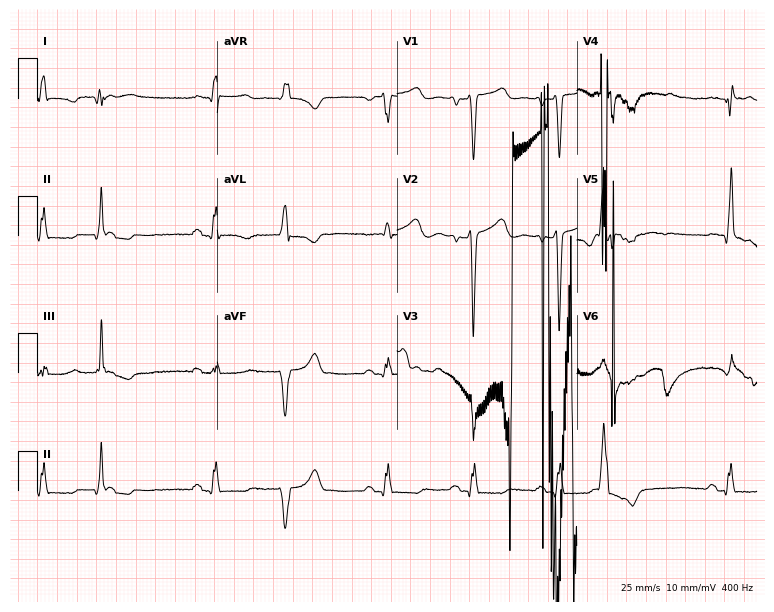
12-lead ECG from a 69-year-old man. No first-degree AV block, right bundle branch block (RBBB), left bundle branch block (LBBB), sinus bradycardia, atrial fibrillation (AF) or sinus tachycardia recorded for this tracing.